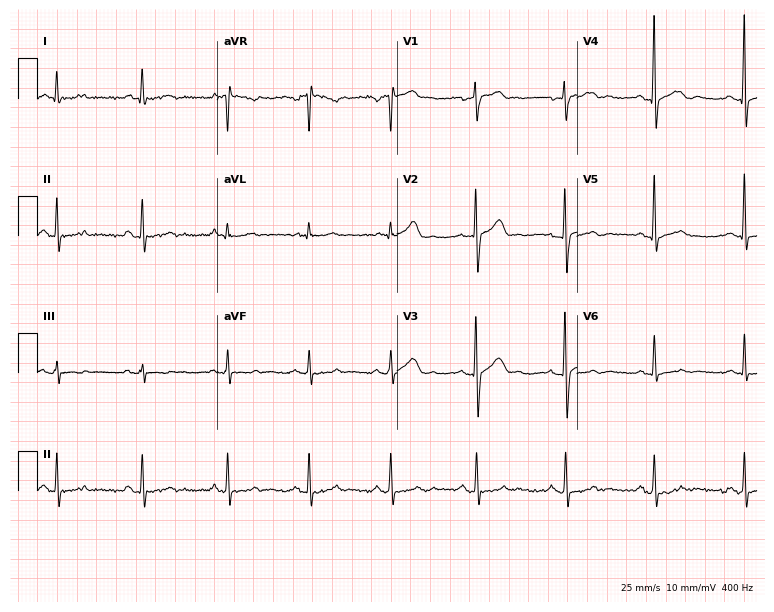
12-lead ECG from a 52-year-old male (7.3-second recording at 400 Hz). Recorded interpretation: within normal limits.